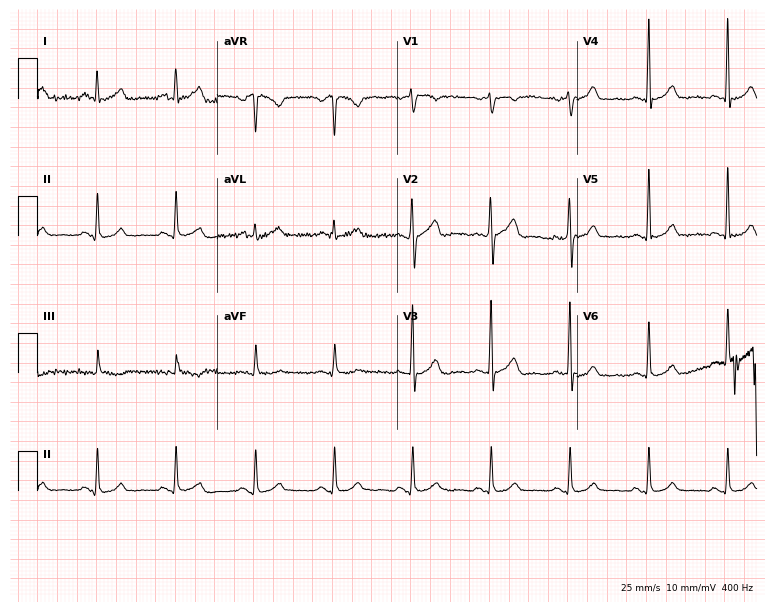
ECG — a 43-year-old male. Labelled as a normal ECG.